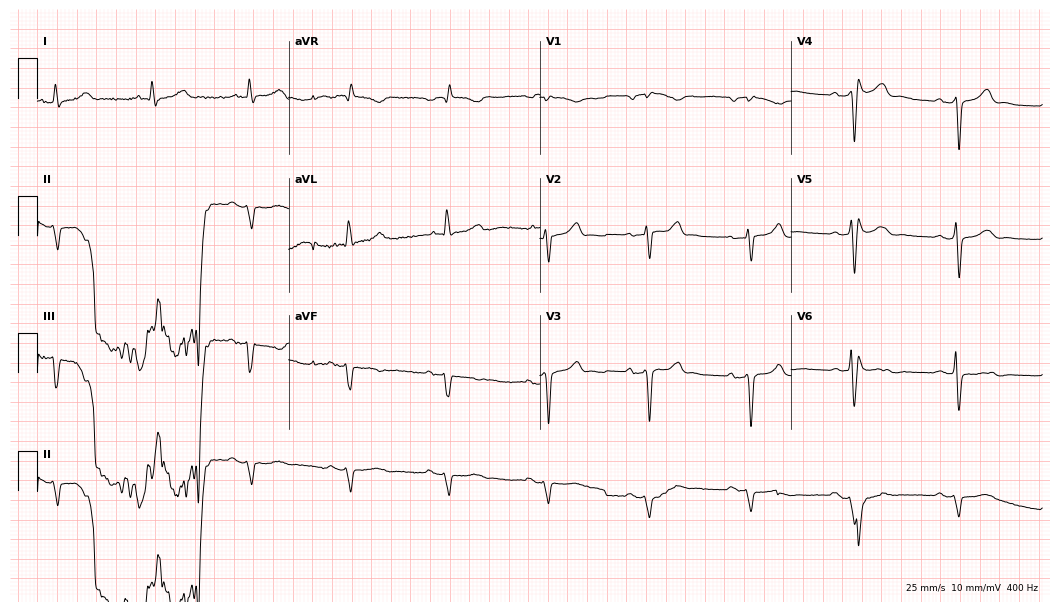
Electrocardiogram, an 82-year-old male patient. Of the six screened findings (first-degree AV block, right bundle branch block (RBBB), left bundle branch block (LBBB), sinus bradycardia, atrial fibrillation (AF), sinus tachycardia), none is recorded. Findings outside these six are not listed.